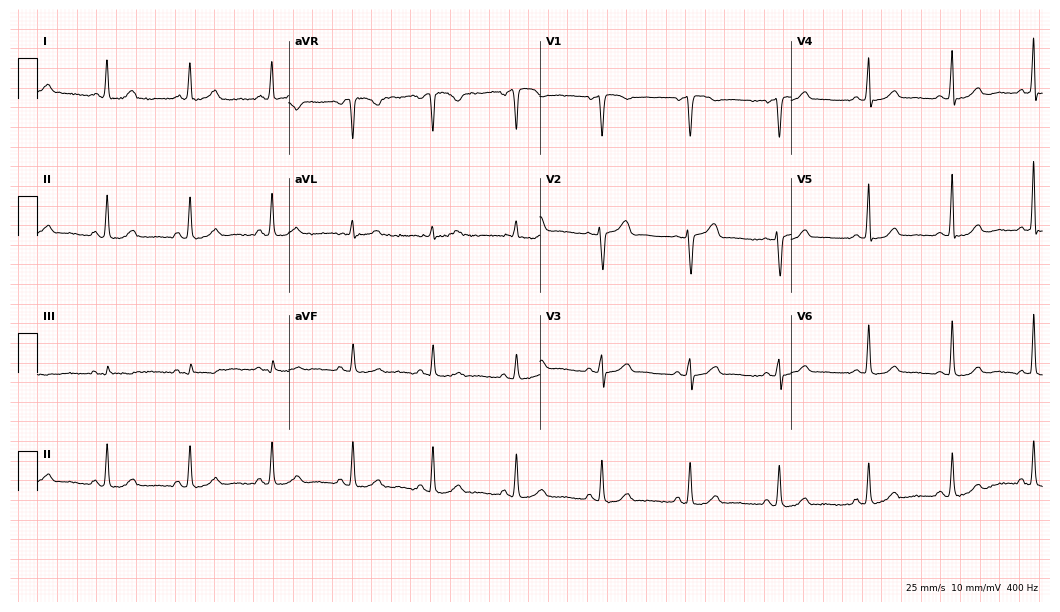
Resting 12-lead electrocardiogram (10.2-second recording at 400 Hz). Patient: a female, 54 years old. Read as a normal ECG.